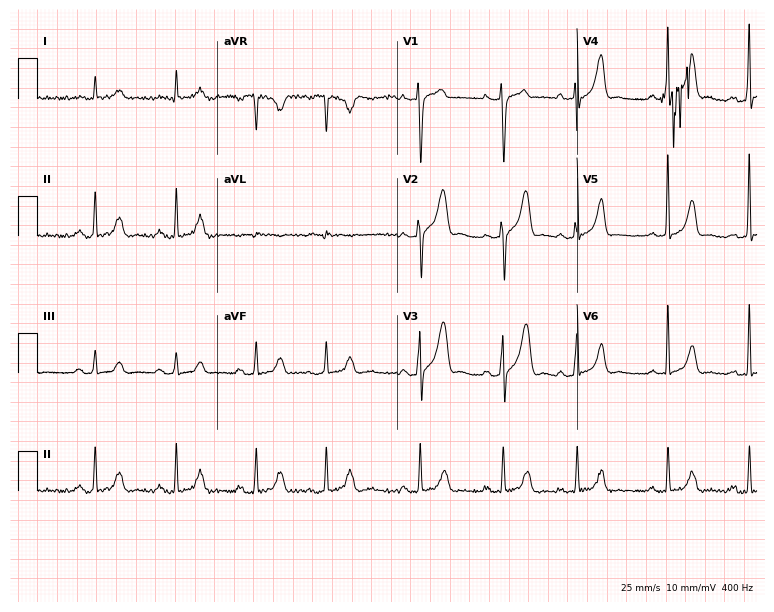
12-lead ECG from a 56-year-old male patient. Labelled as a normal ECG.